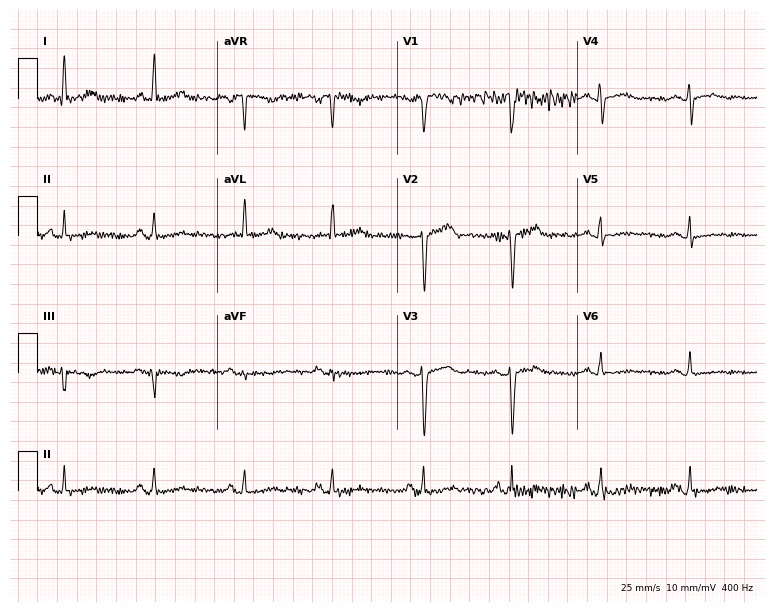
Resting 12-lead electrocardiogram. Patient: a 56-year-old female. None of these six findings is recorded: first-degree AV block, right bundle branch block, left bundle branch block, sinus bradycardia, atrial fibrillation, sinus tachycardia.